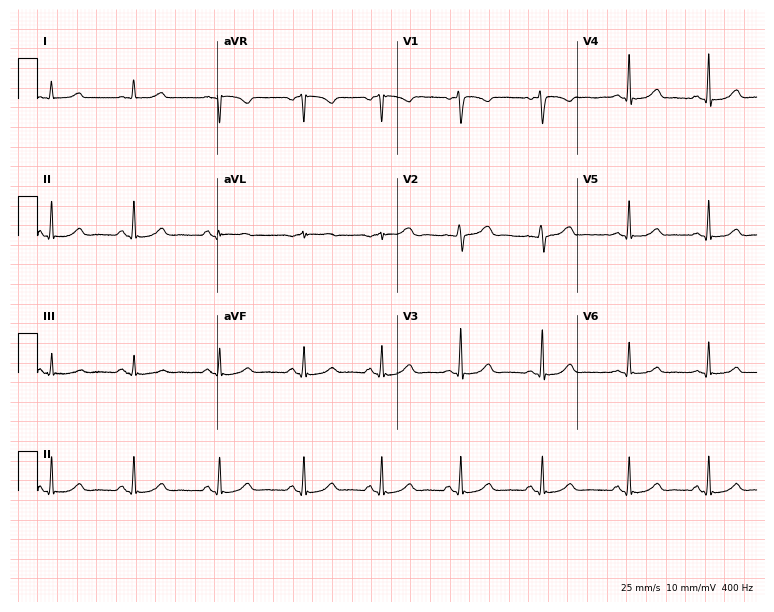
ECG — a female, 27 years old. Labelled as a normal ECG.